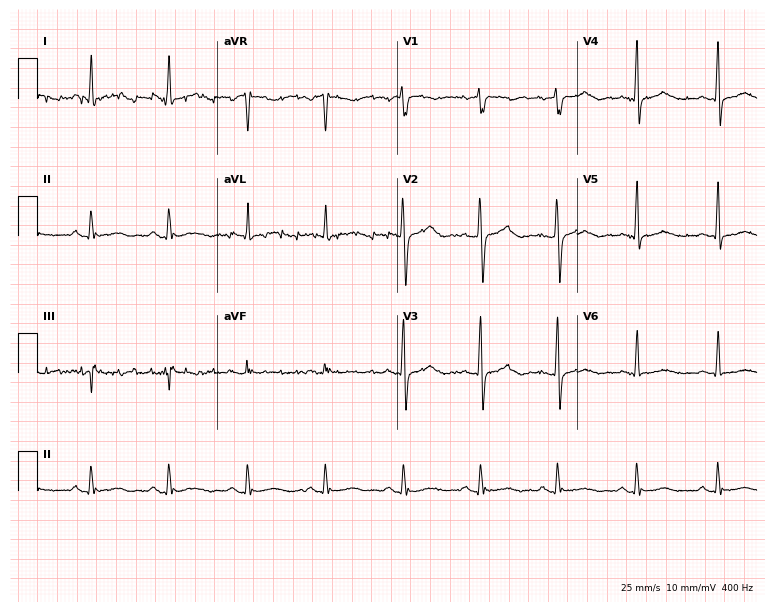
Electrocardiogram, a 55-year-old woman. Of the six screened findings (first-degree AV block, right bundle branch block, left bundle branch block, sinus bradycardia, atrial fibrillation, sinus tachycardia), none is recorded.